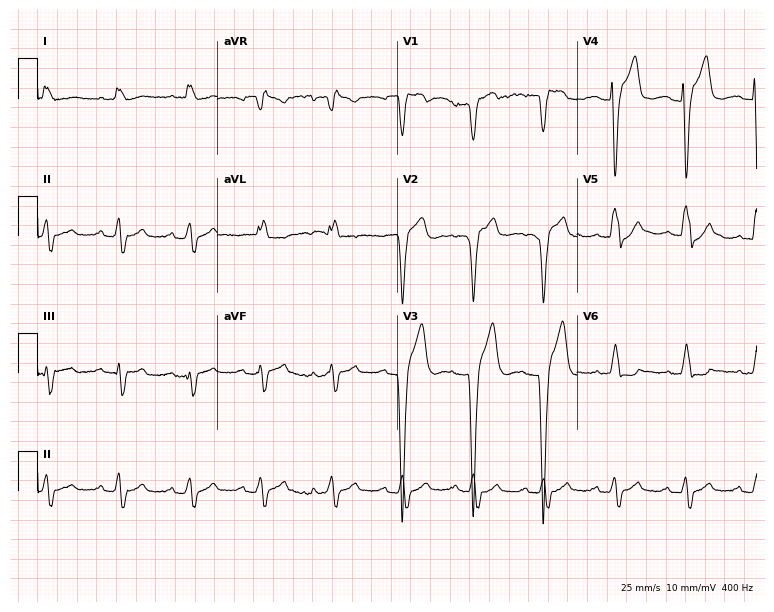
ECG — a male patient, 72 years old. Findings include left bundle branch block (LBBB).